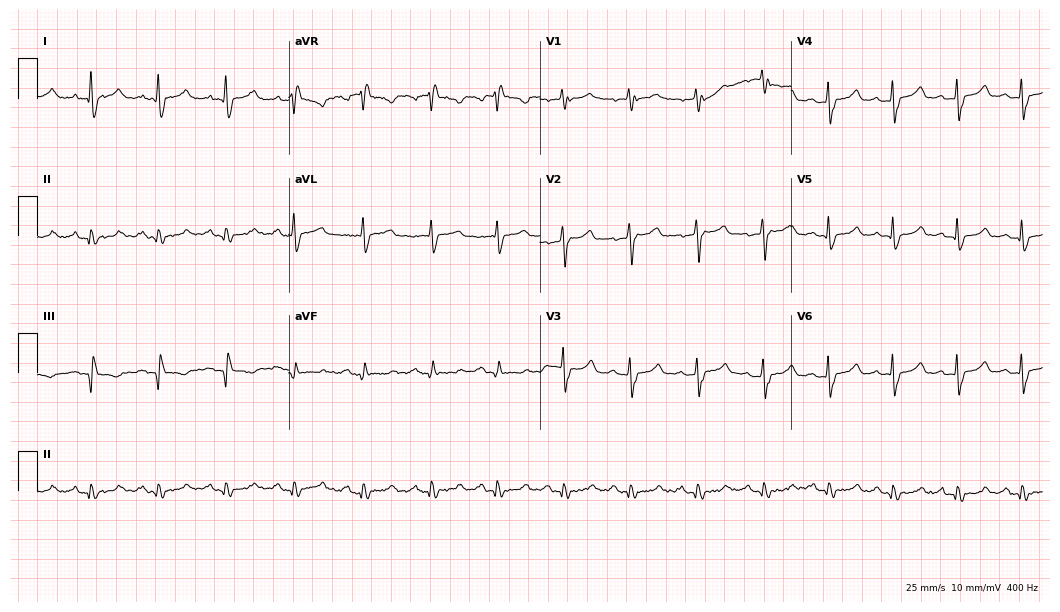
Electrocardiogram (10.2-second recording at 400 Hz), a man, 39 years old. Of the six screened findings (first-degree AV block, right bundle branch block, left bundle branch block, sinus bradycardia, atrial fibrillation, sinus tachycardia), none is recorded.